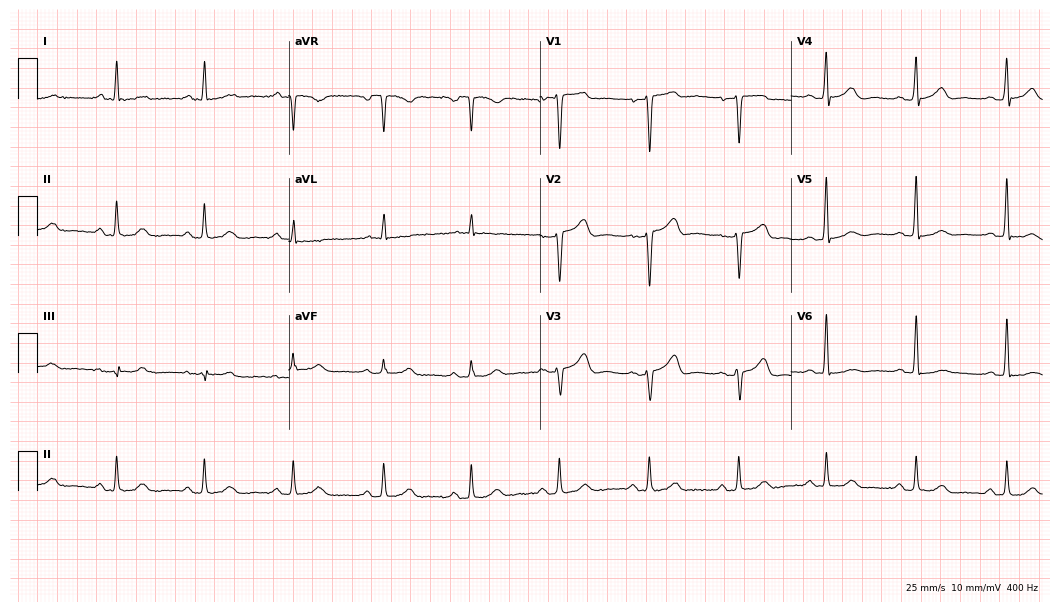
12-lead ECG from a 63-year-old female patient (10.2-second recording at 400 Hz). Recorded interpretation: within normal limits.